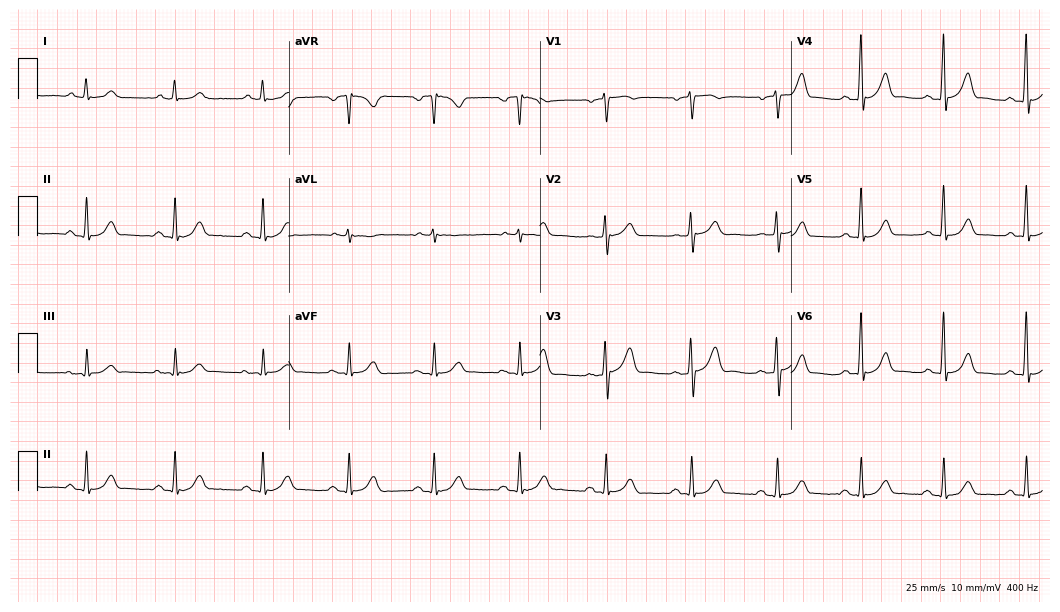
Resting 12-lead electrocardiogram (10.2-second recording at 400 Hz). Patient: a male, 49 years old. Read as a normal ECG.